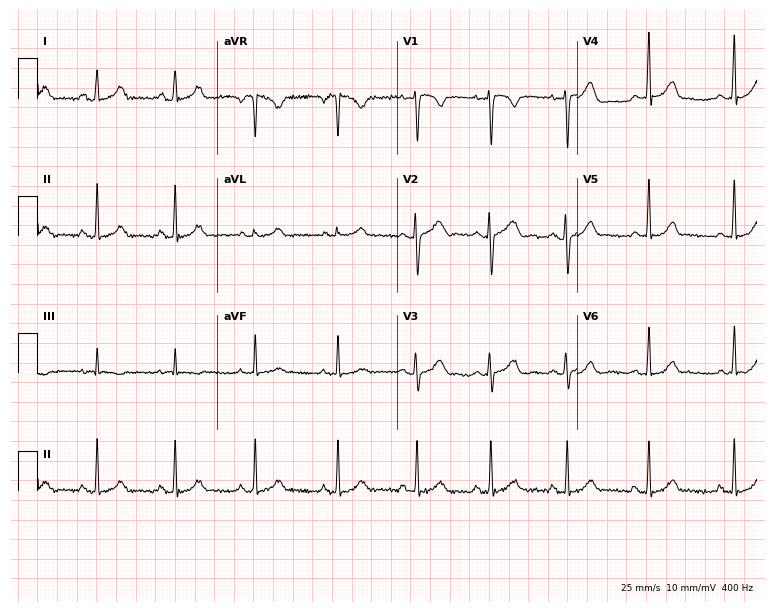
12-lead ECG from a 23-year-old female patient. Screened for six findings — first-degree AV block, right bundle branch block, left bundle branch block, sinus bradycardia, atrial fibrillation, sinus tachycardia — none is recorded.